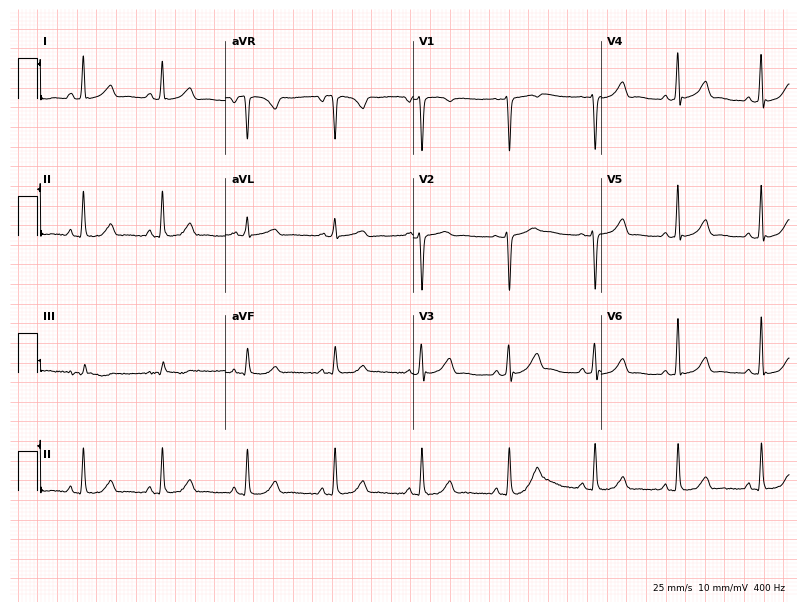
Standard 12-lead ECG recorded from a 36-year-old female patient (7.7-second recording at 400 Hz). Read as a normal ECG.